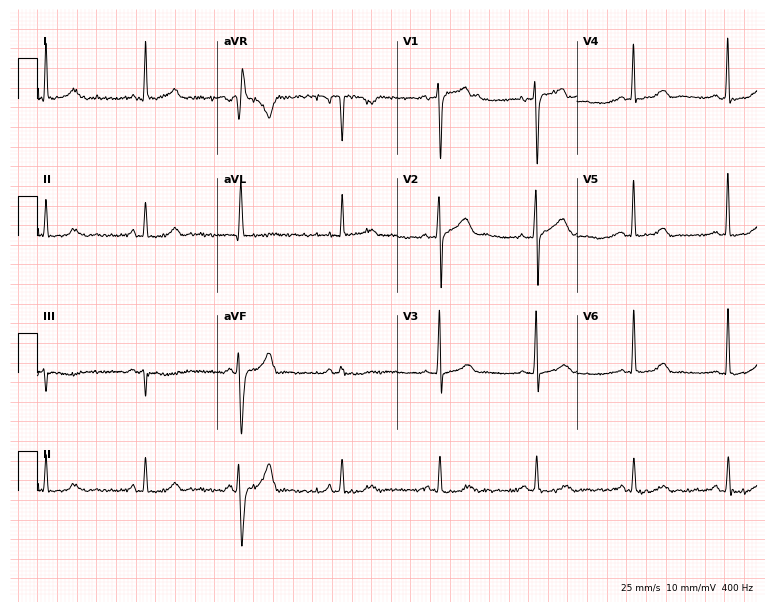
Resting 12-lead electrocardiogram. Patient: a 74-year-old man. None of these six findings is recorded: first-degree AV block, right bundle branch block, left bundle branch block, sinus bradycardia, atrial fibrillation, sinus tachycardia. Only these six findings were labelled.